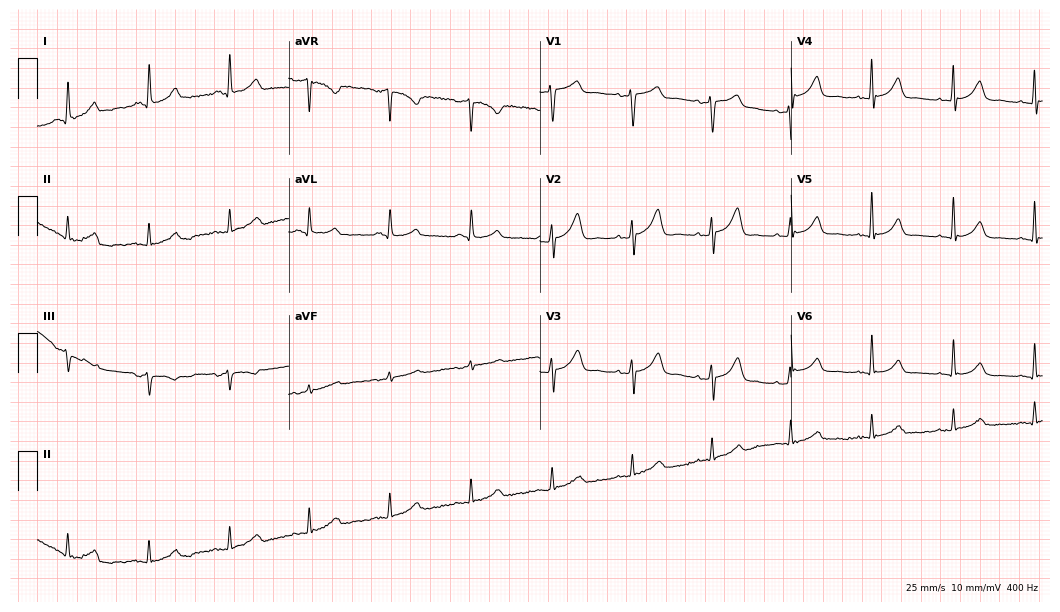
ECG — a female, 74 years old. Labelled as a normal ECG.